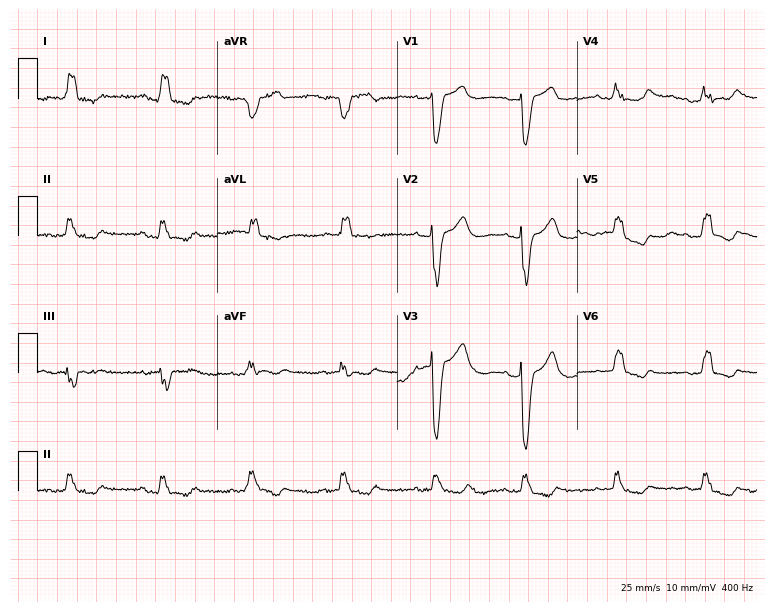
12-lead ECG from a female, 80 years old. Findings include left bundle branch block (LBBB).